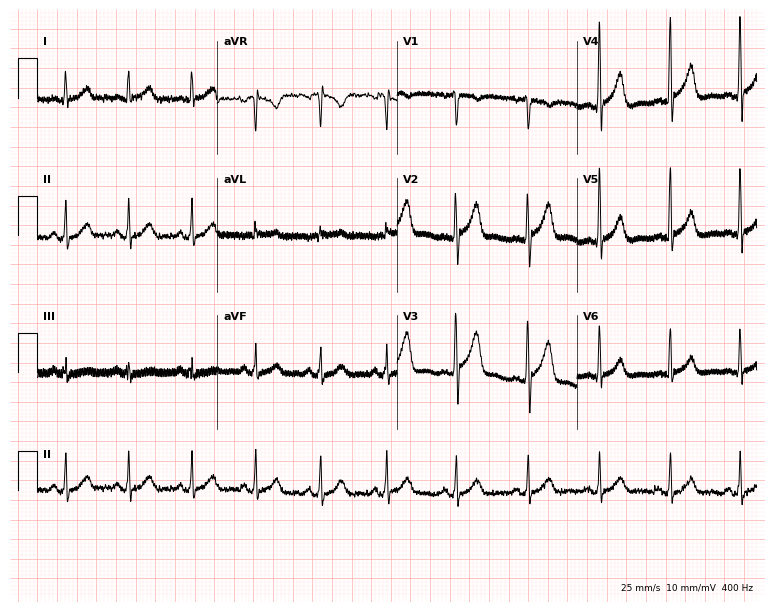
Resting 12-lead electrocardiogram. Patient: a 41-year-old male. None of these six findings is recorded: first-degree AV block, right bundle branch block (RBBB), left bundle branch block (LBBB), sinus bradycardia, atrial fibrillation (AF), sinus tachycardia.